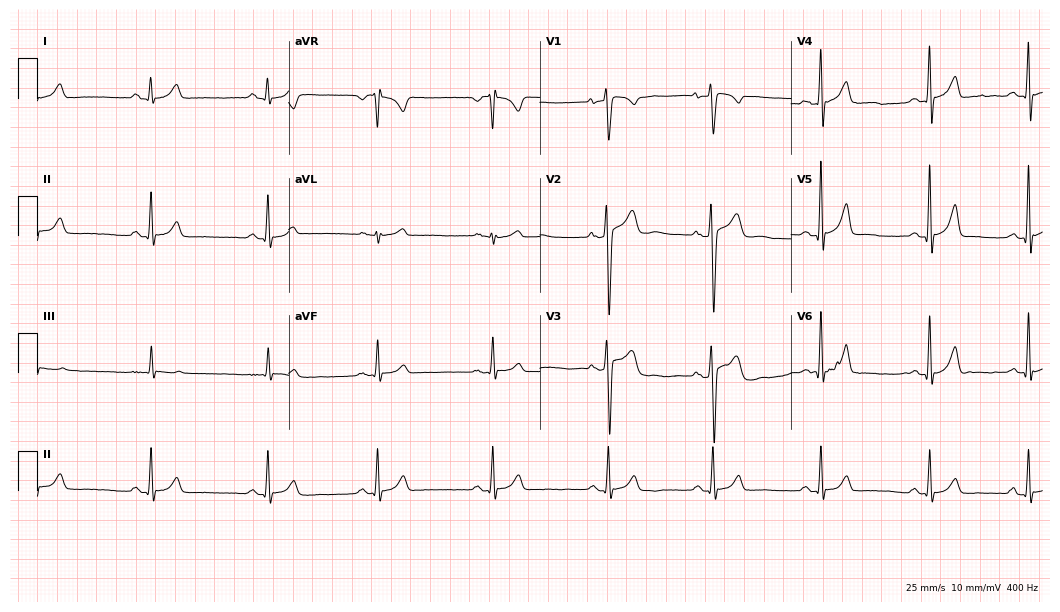
Electrocardiogram, a 27-year-old man. Overall reading on record: normal ECG.